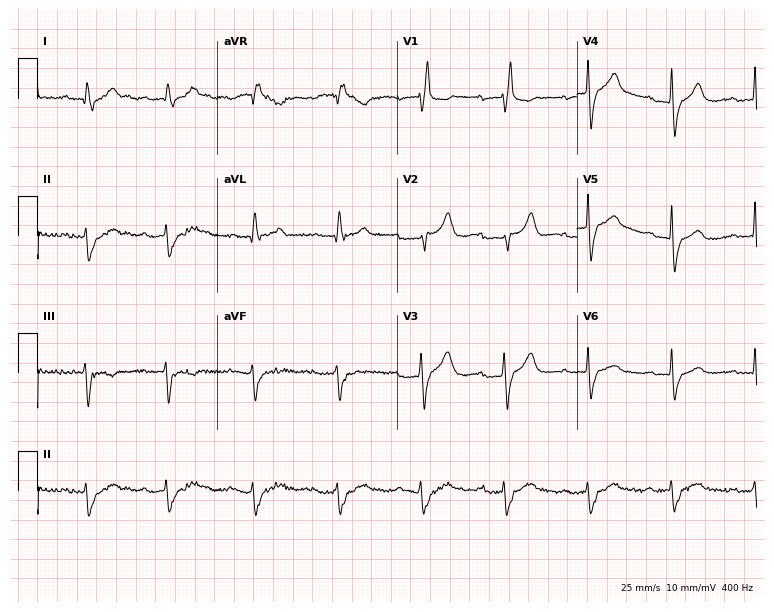
Resting 12-lead electrocardiogram (7.3-second recording at 400 Hz). Patient: a male, 70 years old. The tracing shows first-degree AV block, right bundle branch block (RBBB).